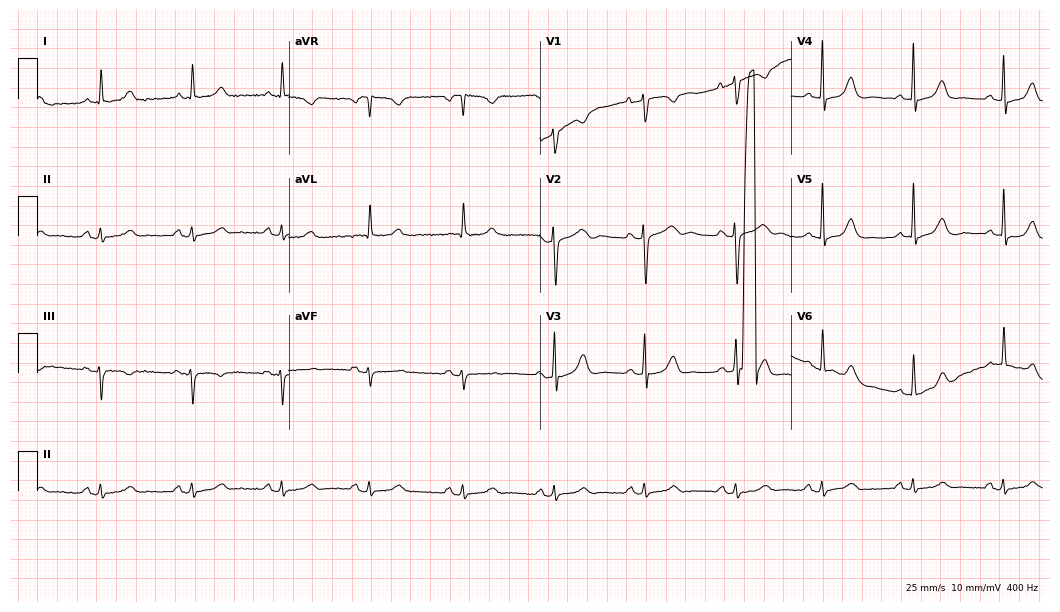
12-lead ECG from an 80-year-old female patient. Labelled as a normal ECG.